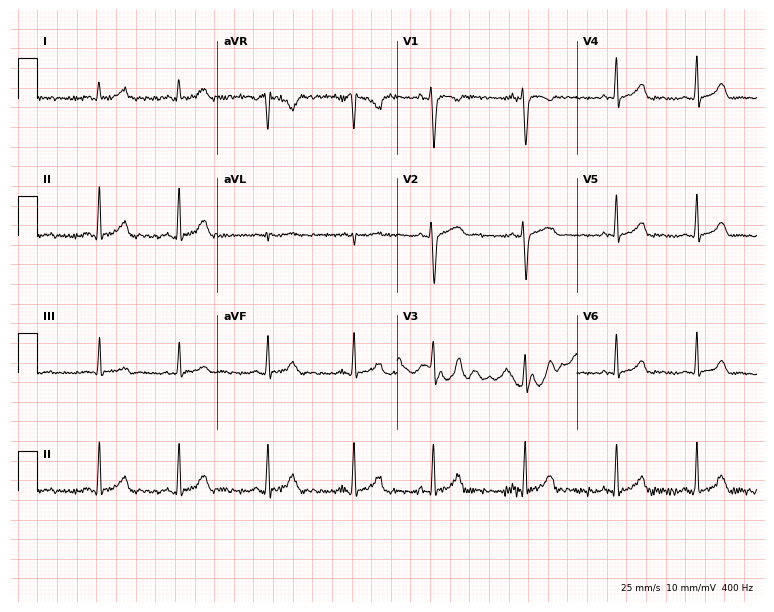
ECG (7.3-second recording at 400 Hz) — a 25-year-old female patient. Labelled as a normal ECG.